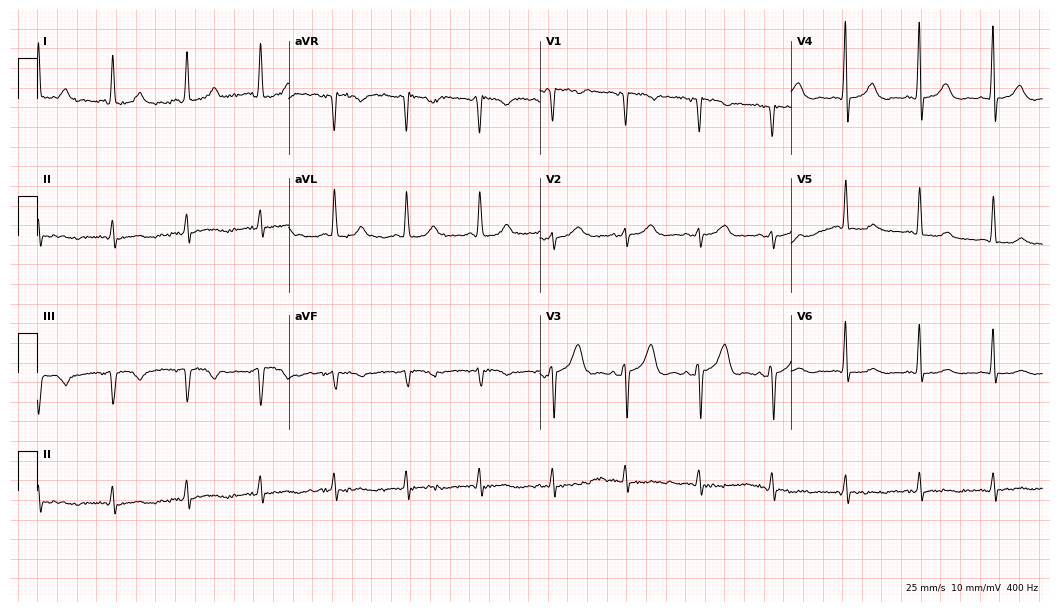
12-lead ECG from a female, 68 years old. Screened for six findings — first-degree AV block, right bundle branch block (RBBB), left bundle branch block (LBBB), sinus bradycardia, atrial fibrillation (AF), sinus tachycardia — none is recorded. Findings outside these six are not listed.